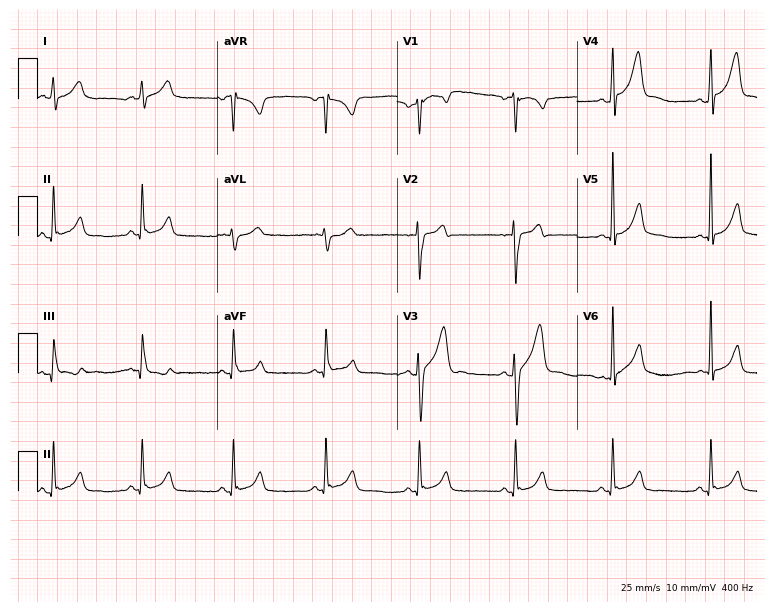
Resting 12-lead electrocardiogram. Patient: a male, 33 years old. None of these six findings is recorded: first-degree AV block, right bundle branch block, left bundle branch block, sinus bradycardia, atrial fibrillation, sinus tachycardia.